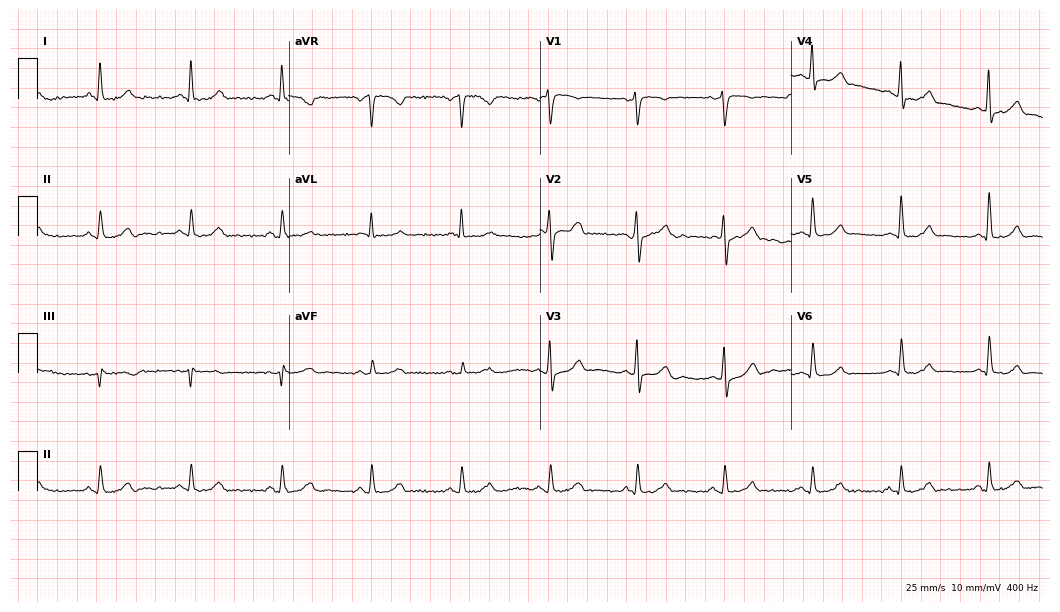
Electrocardiogram (10.2-second recording at 400 Hz), a male, 54 years old. Overall reading on record: normal ECG.